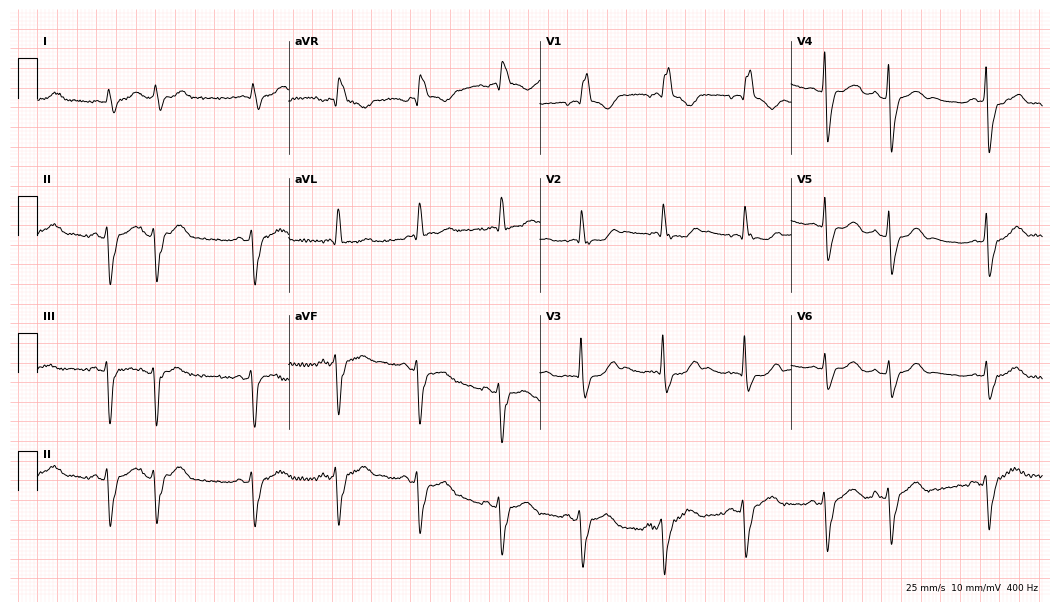
Electrocardiogram, a female, 84 years old. Interpretation includes right bundle branch block.